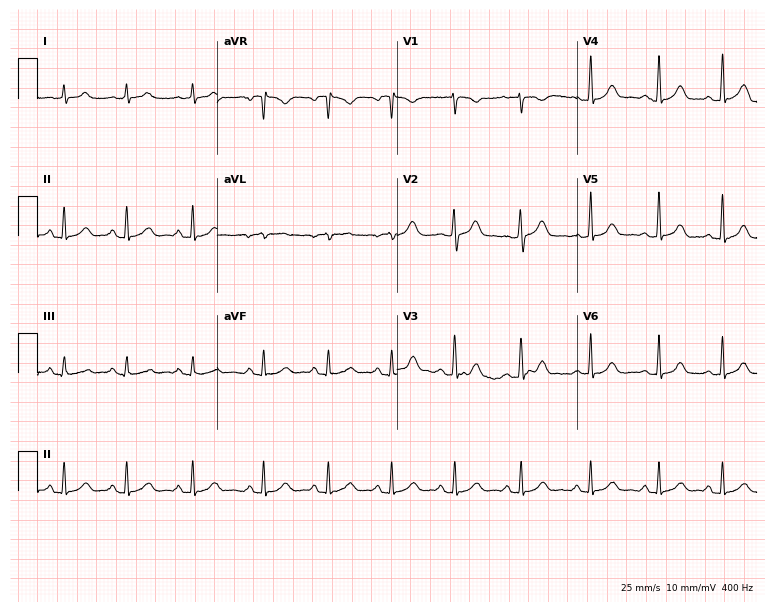
12-lead ECG from a 31-year-old woman. Labelled as a normal ECG.